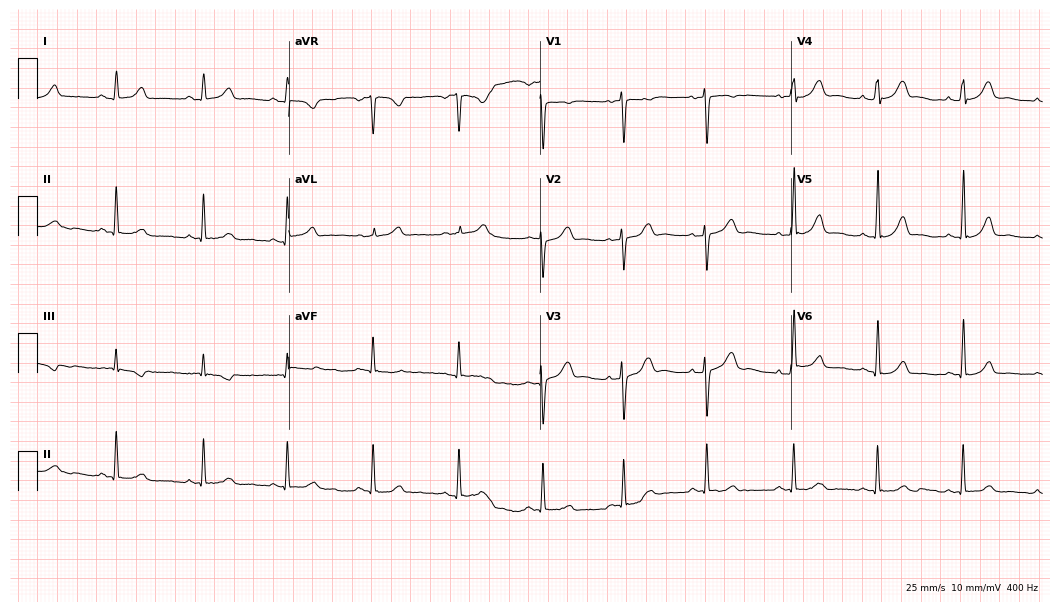
Standard 12-lead ECG recorded from a 34-year-old female. None of these six findings is recorded: first-degree AV block, right bundle branch block, left bundle branch block, sinus bradycardia, atrial fibrillation, sinus tachycardia.